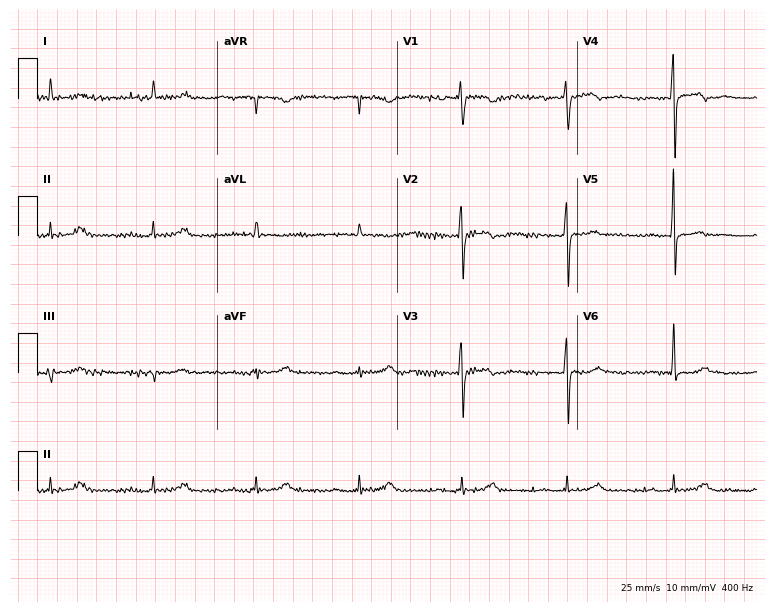
Resting 12-lead electrocardiogram. Patient: a male, 72 years old. None of these six findings is recorded: first-degree AV block, right bundle branch block, left bundle branch block, sinus bradycardia, atrial fibrillation, sinus tachycardia.